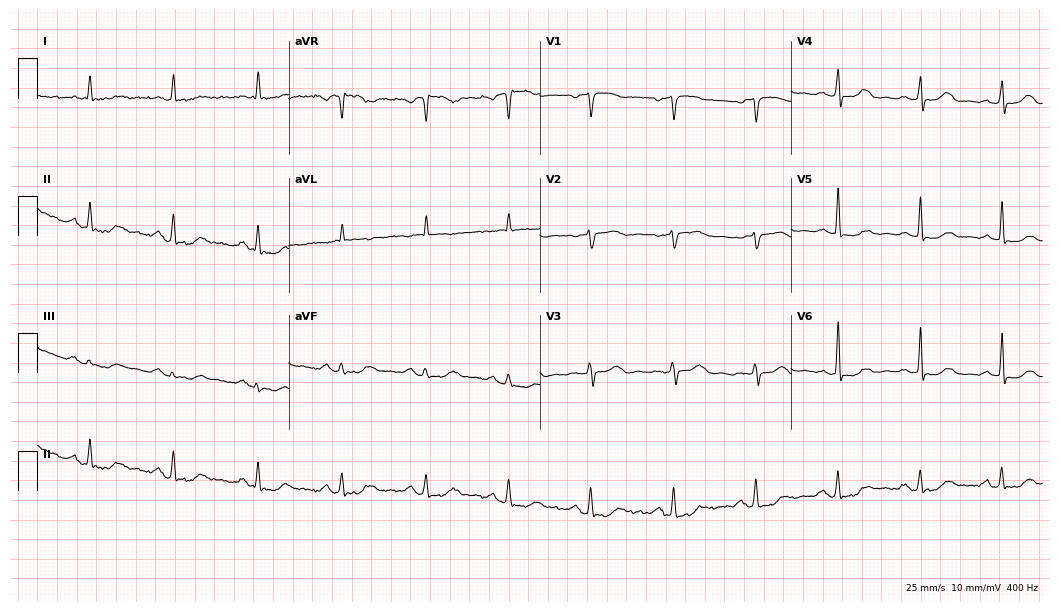
Resting 12-lead electrocardiogram. Patient: a 75-year-old female. None of these six findings is recorded: first-degree AV block, right bundle branch block, left bundle branch block, sinus bradycardia, atrial fibrillation, sinus tachycardia.